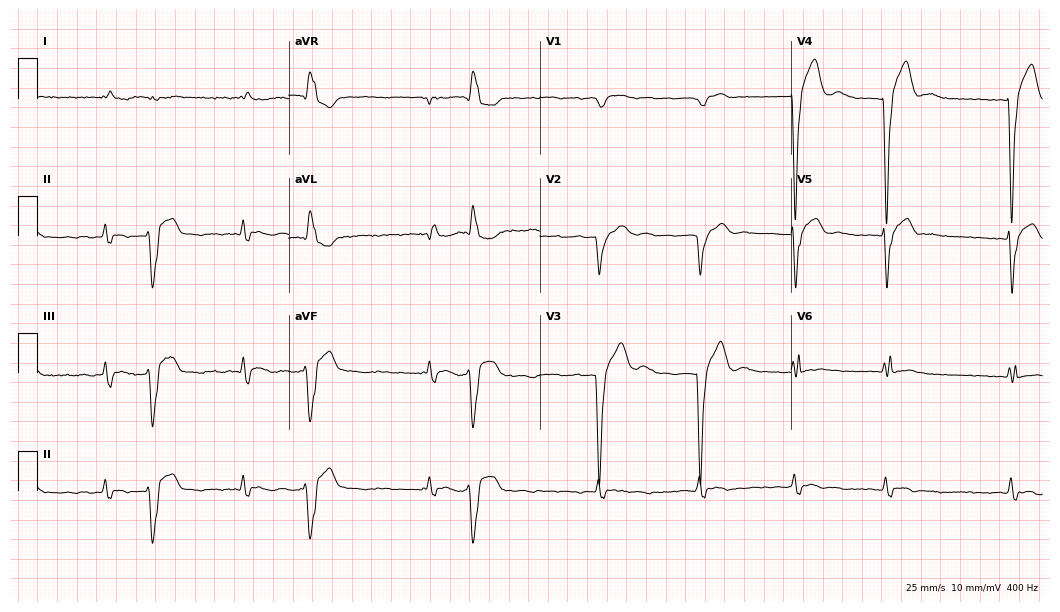
ECG — a 74-year-old female patient. Findings include left bundle branch block, atrial fibrillation.